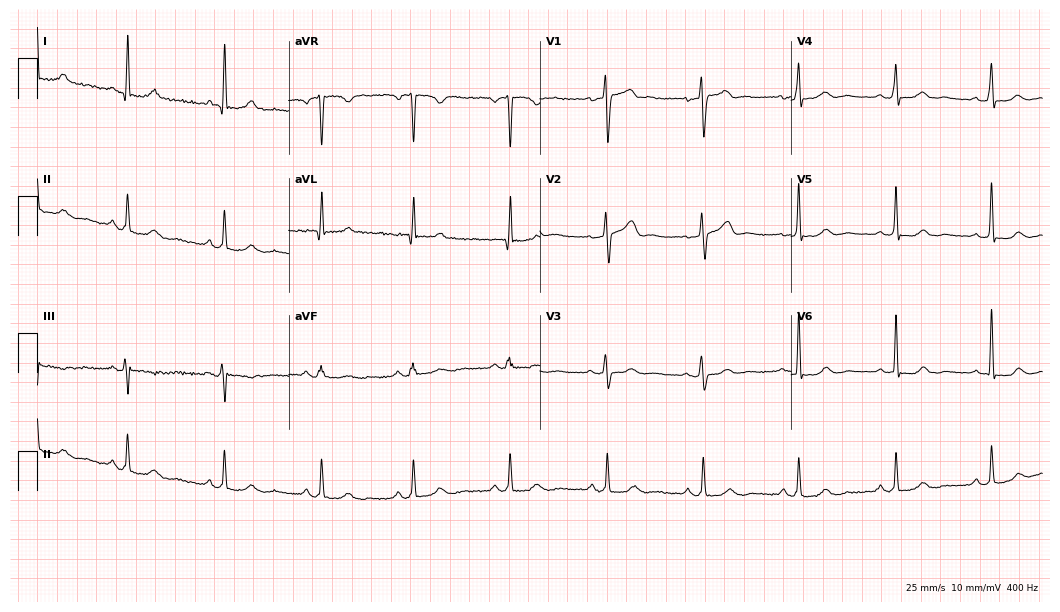
12-lead ECG from a woman, 56 years old (10.2-second recording at 400 Hz). Recorded interpretation: within normal limits.